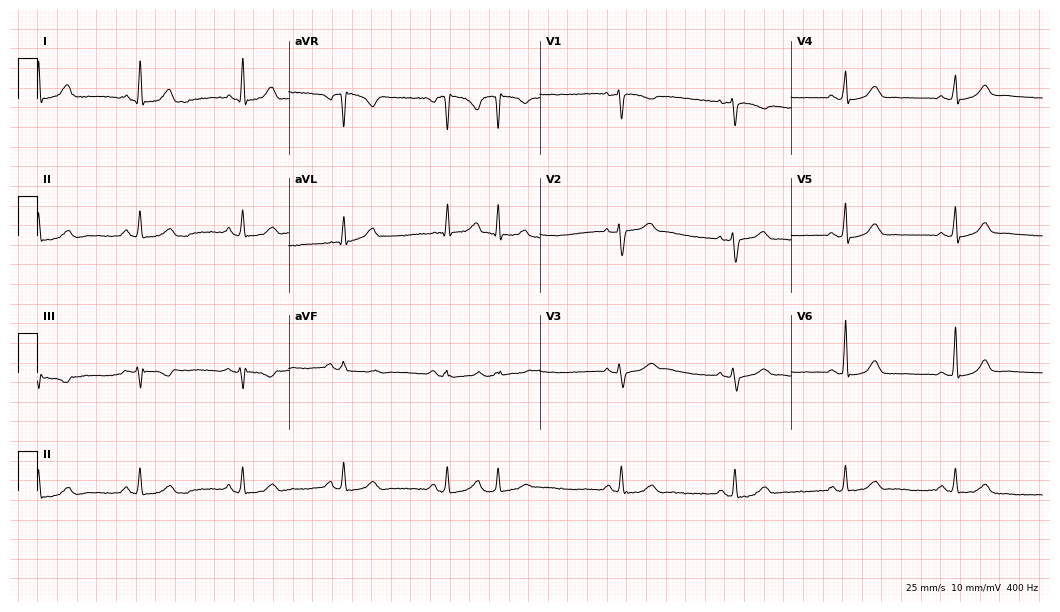
12-lead ECG from a woman, 58 years old (10.2-second recording at 400 Hz). No first-degree AV block, right bundle branch block, left bundle branch block, sinus bradycardia, atrial fibrillation or sinus tachycardia recorded for this tracing. Other findings, if any, are not listed.